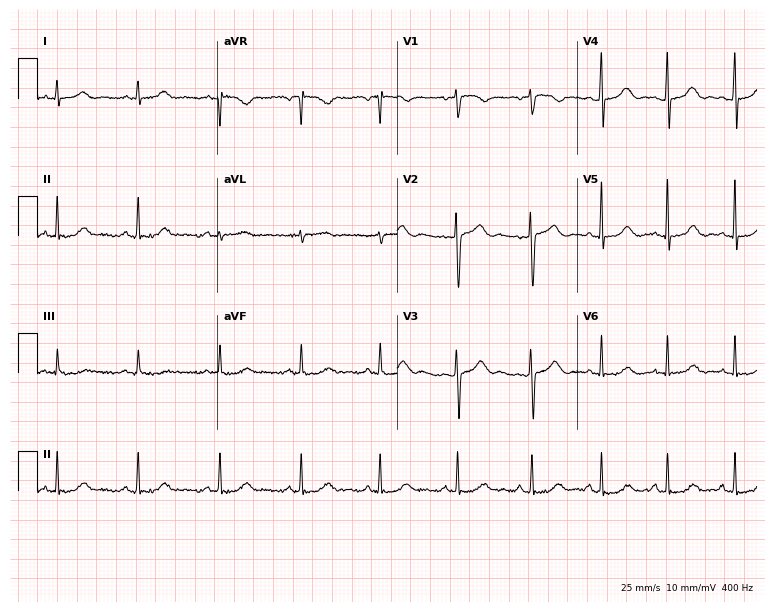
Resting 12-lead electrocardiogram (7.3-second recording at 400 Hz). Patient: a female, 44 years old. Read as a normal ECG.